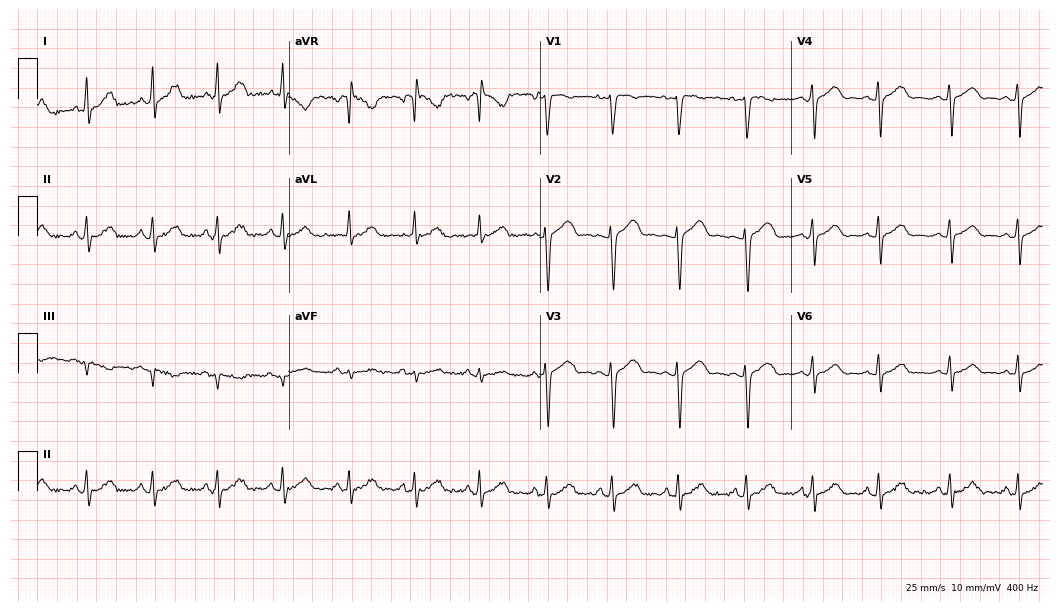
Electrocardiogram (10.2-second recording at 400 Hz), a 25-year-old woman. Overall reading on record: normal ECG.